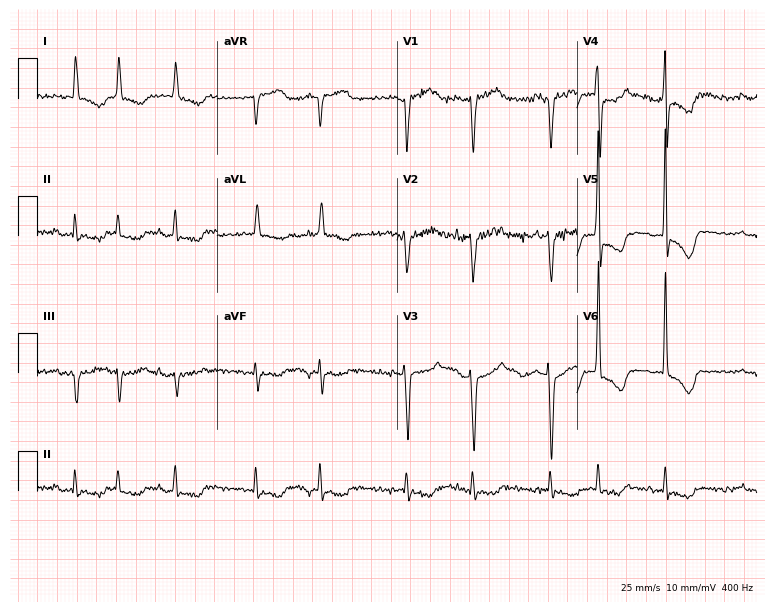
Standard 12-lead ECG recorded from a male, 77 years old (7.3-second recording at 400 Hz). The tracing shows atrial fibrillation.